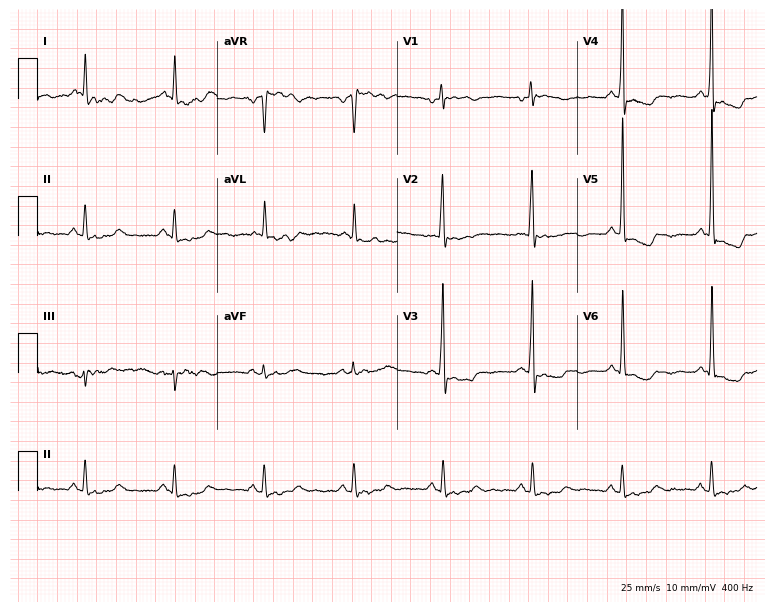
Standard 12-lead ECG recorded from an 83-year-old female patient. None of these six findings is recorded: first-degree AV block, right bundle branch block (RBBB), left bundle branch block (LBBB), sinus bradycardia, atrial fibrillation (AF), sinus tachycardia.